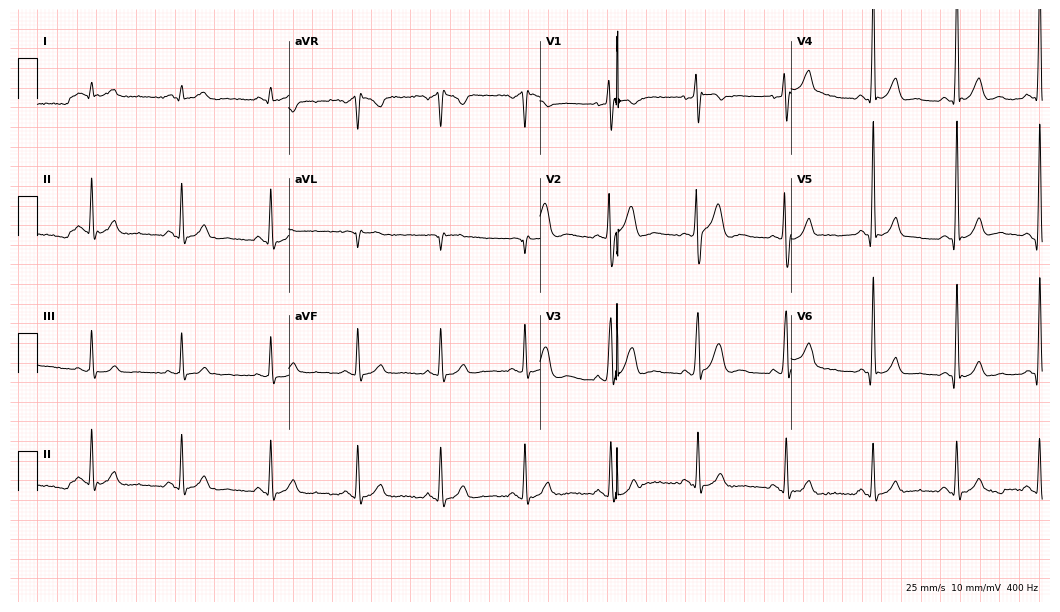
ECG (10.2-second recording at 400 Hz) — a man, 33 years old. Labelled as a normal ECG.